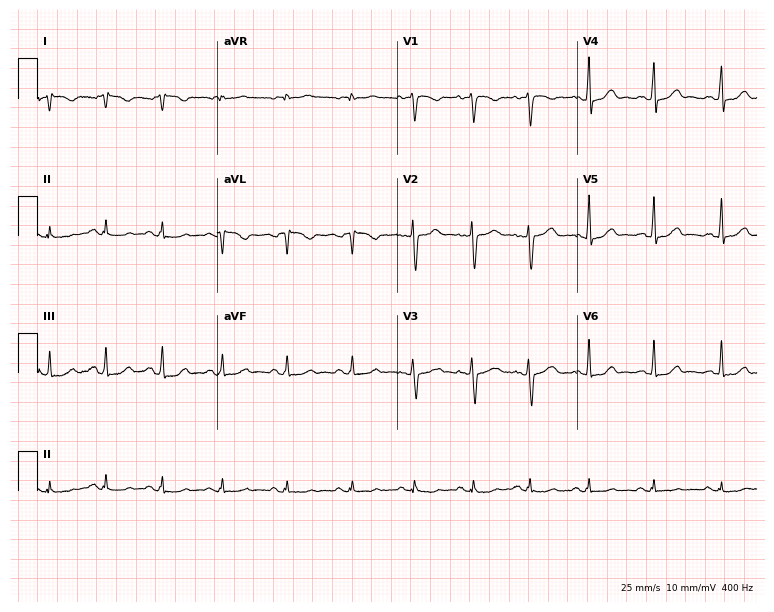
Resting 12-lead electrocardiogram (7.3-second recording at 400 Hz). Patient: a female, 29 years old. Read as a normal ECG.